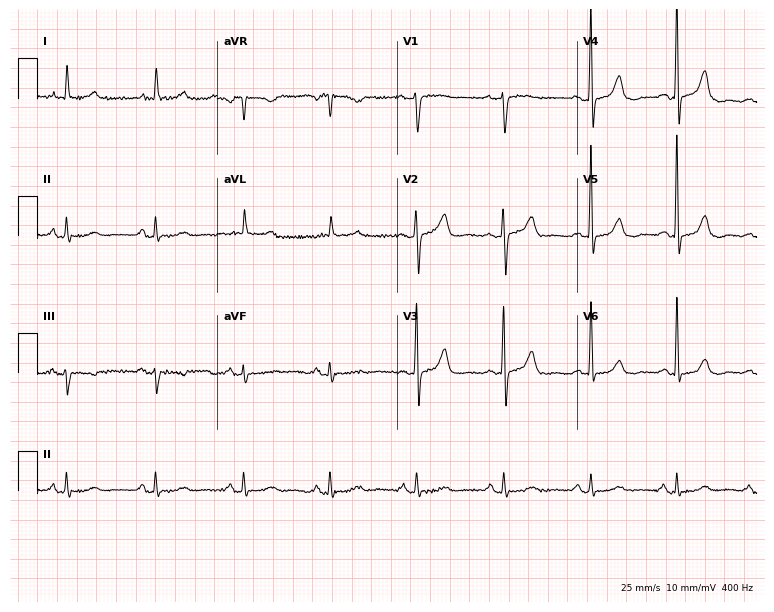
12-lead ECG from a female, 84 years old (7.3-second recording at 400 Hz). No first-degree AV block, right bundle branch block (RBBB), left bundle branch block (LBBB), sinus bradycardia, atrial fibrillation (AF) or sinus tachycardia recorded for this tracing.